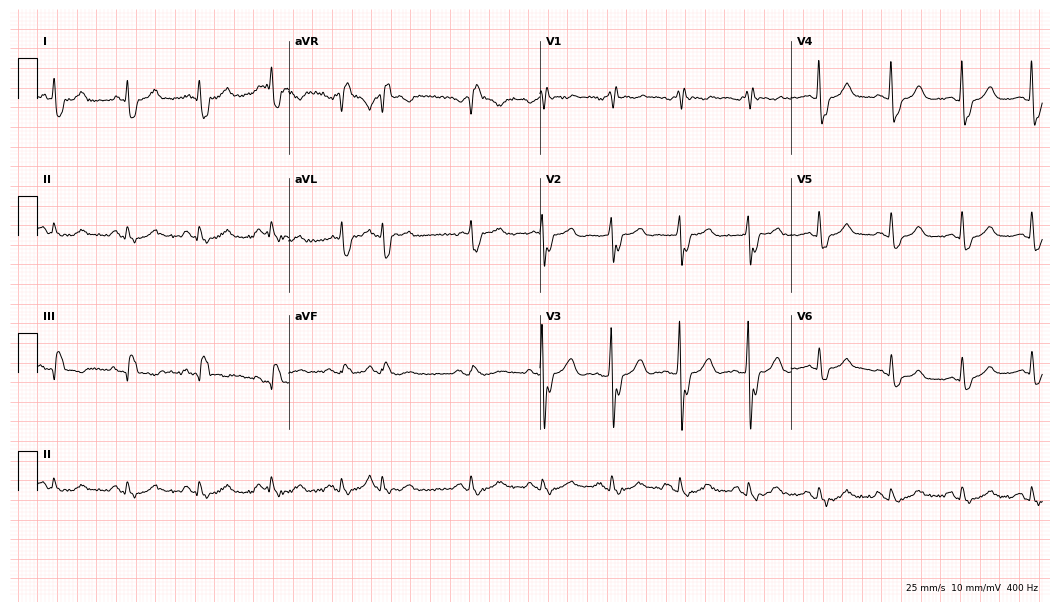
12-lead ECG from a 68-year-old woman. Shows right bundle branch block.